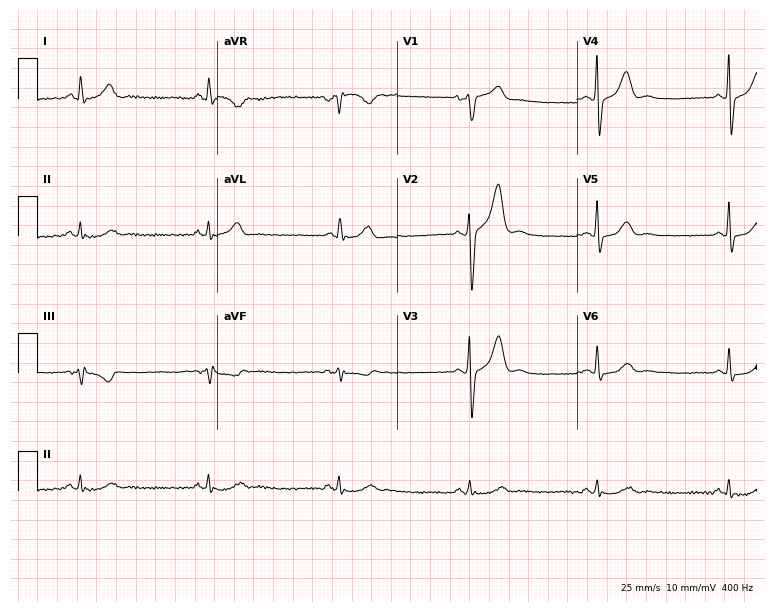
12-lead ECG from a 60-year-old male. Findings include sinus bradycardia (a sinus rate of 50 beats per minute or less).